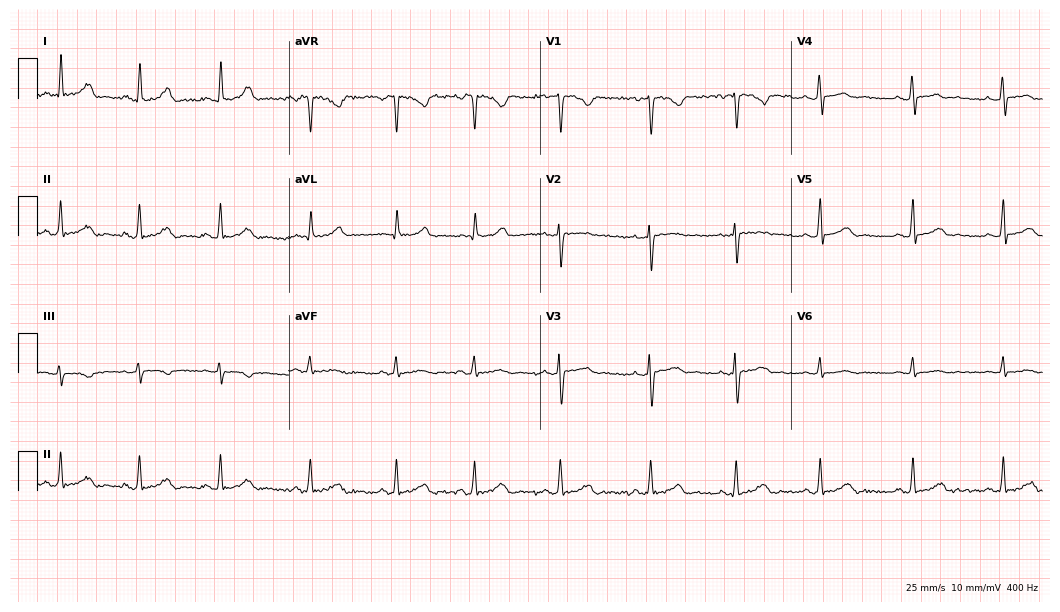
Electrocardiogram (10.2-second recording at 400 Hz), a female, 26 years old. Overall reading on record: normal ECG.